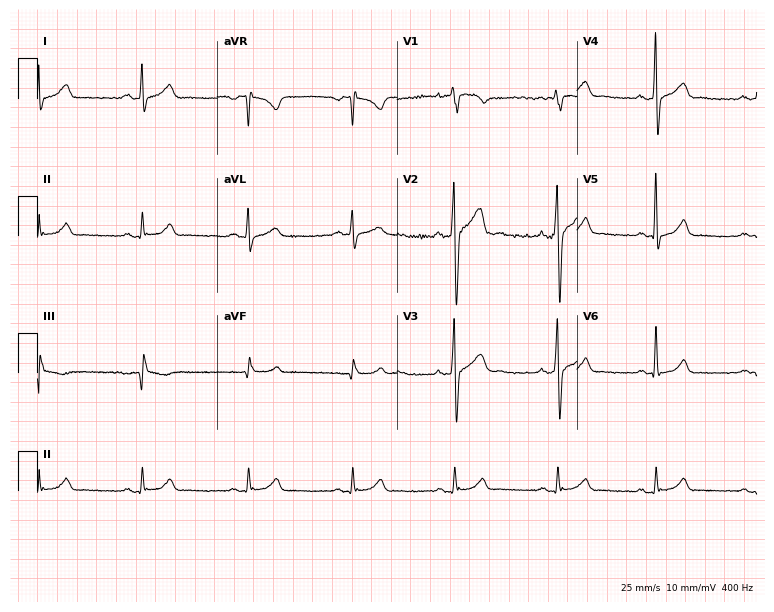
12-lead ECG from a male, 34 years old (7.3-second recording at 400 Hz). Recorded interpretation: within normal limits.